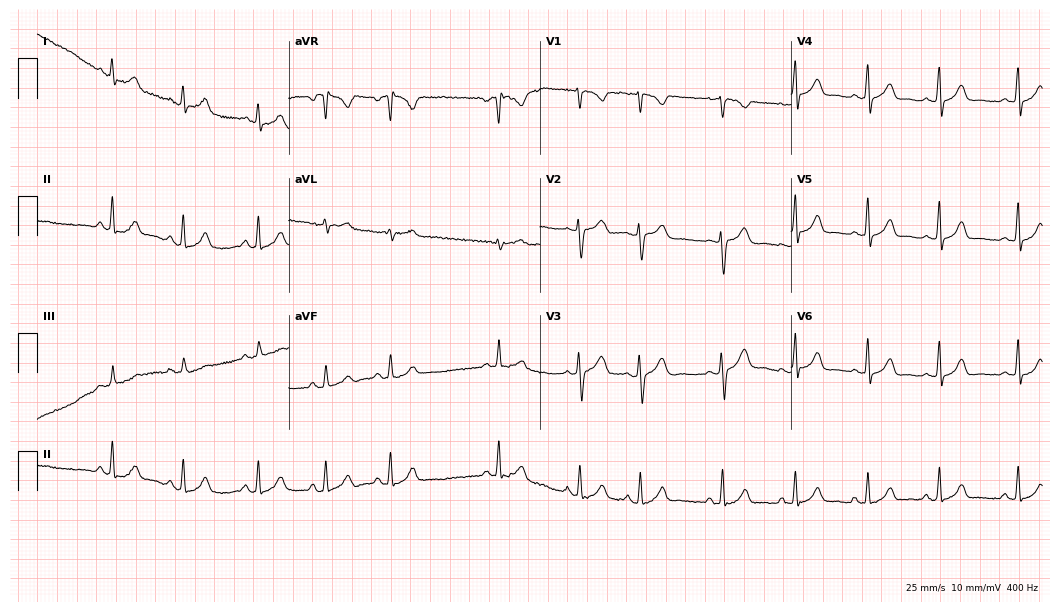
12-lead ECG from a 24-year-old female. Screened for six findings — first-degree AV block, right bundle branch block, left bundle branch block, sinus bradycardia, atrial fibrillation, sinus tachycardia — none is recorded. Other findings, if any, are not listed.